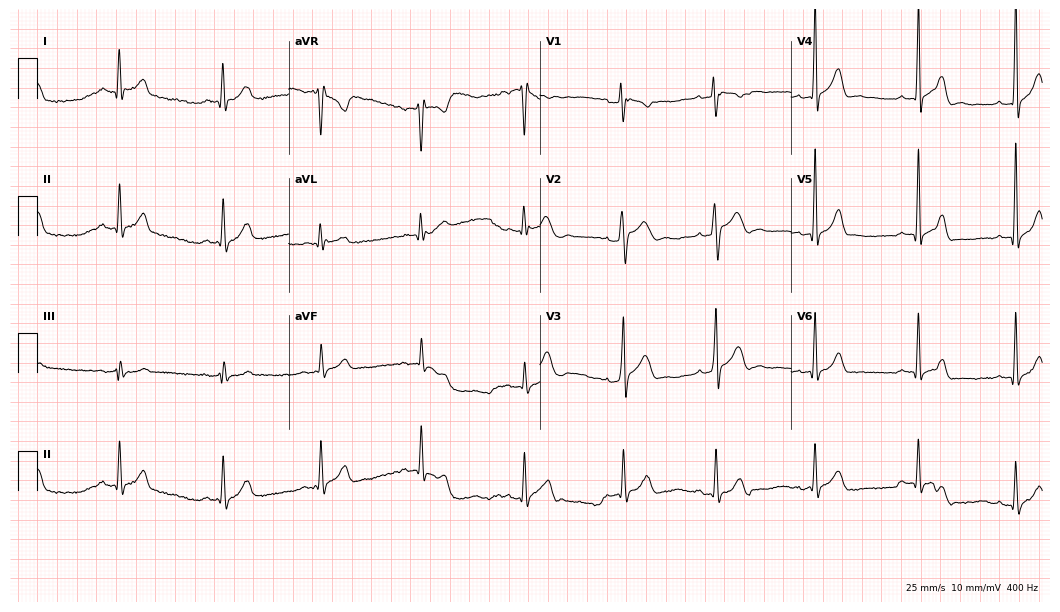
Resting 12-lead electrocardiogram. Patient: a 21-year-old man. None of these six findings is recorded: first-degree AV block, right bundle branch block, left bundle branch block, sinus bradycardia, atrial fibrillation, sinus tachycardia.